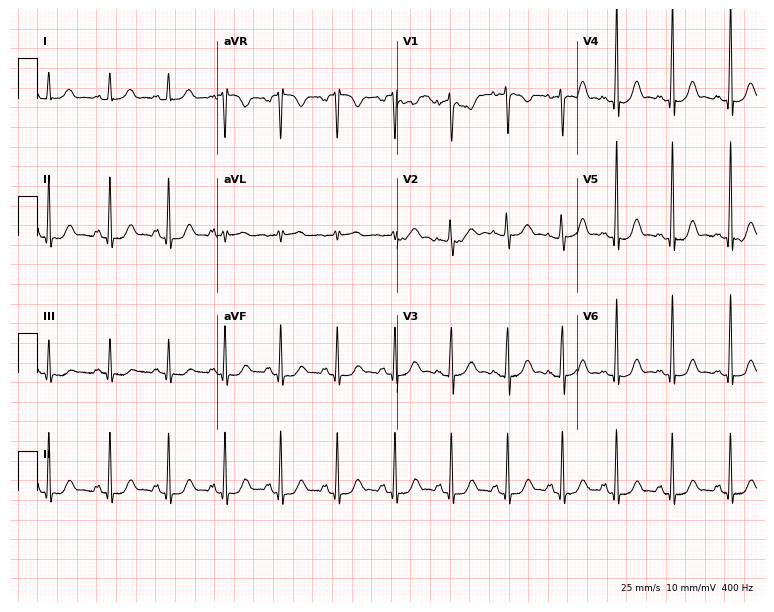
Resting 12-lead electrocardiogram. Patient: a 20-year-old female. The tracing shows sinus tachycardia (a sinus rate of 100 beats per minute or more).